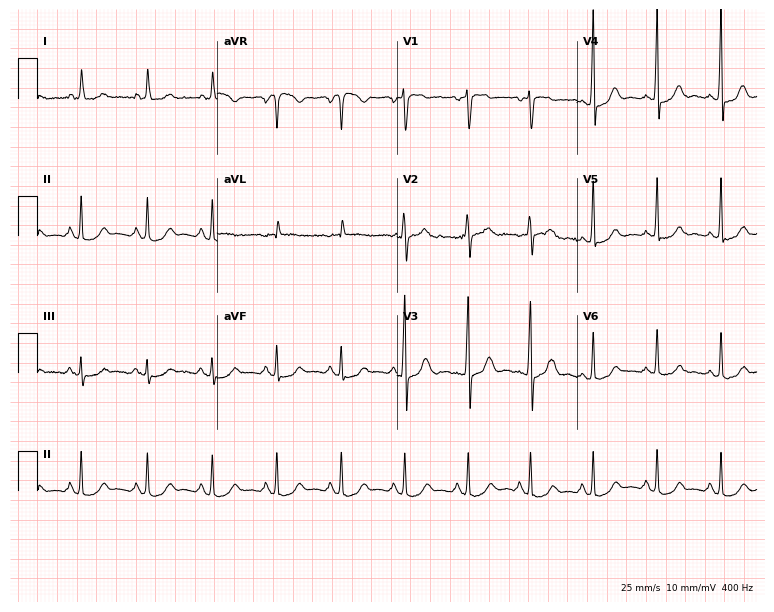
ECG (7.3-second recording at 400 Hz) — a 41-year-old woman. Labelled as a normal ECG.